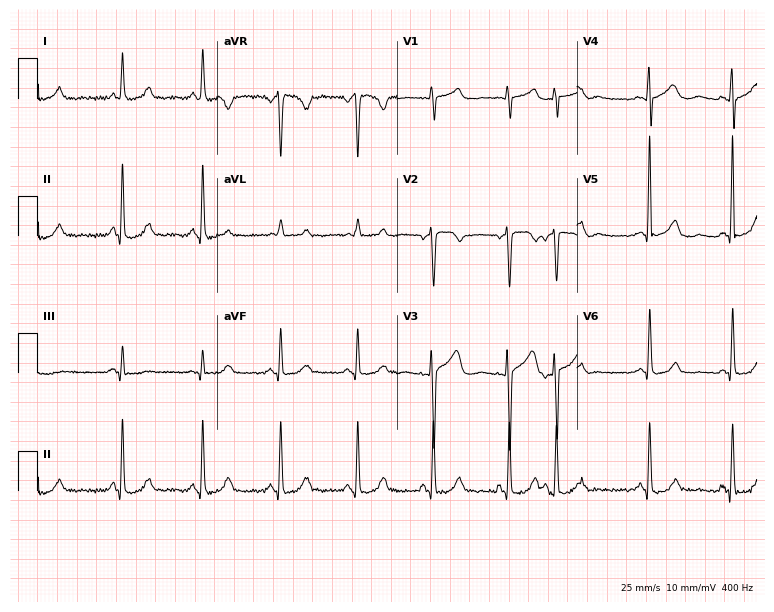
12-lead ECG from a female, 64 years old. No first-degree AV block, right bundle branch block (RBBB), left bundle branch block (LBBB), sinus bradycardia, atrial fibrillation (AF) or sinus tachycardia recorded for this tracing. Other findings, if any, are not listed.